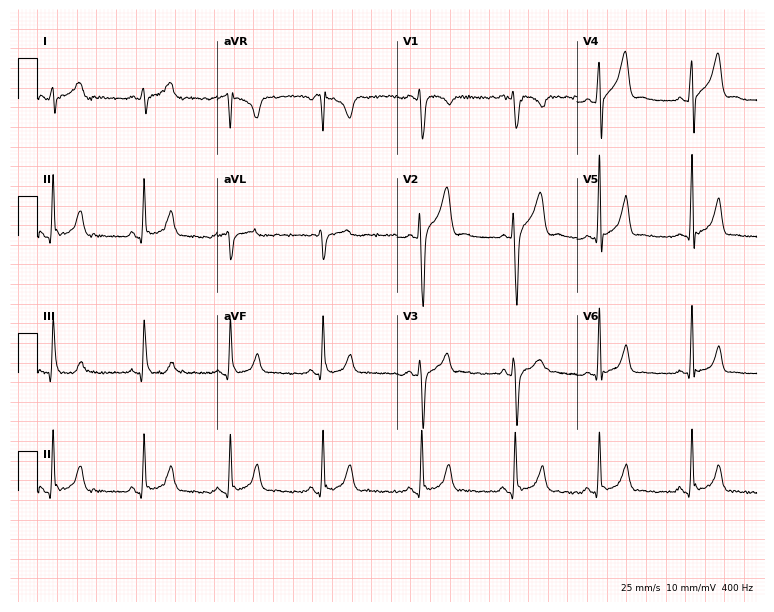
12-lead ECG from a 19-year-old male patient (7.3-second recording at 400 Hz). Recorded interpretation: within normal limits.